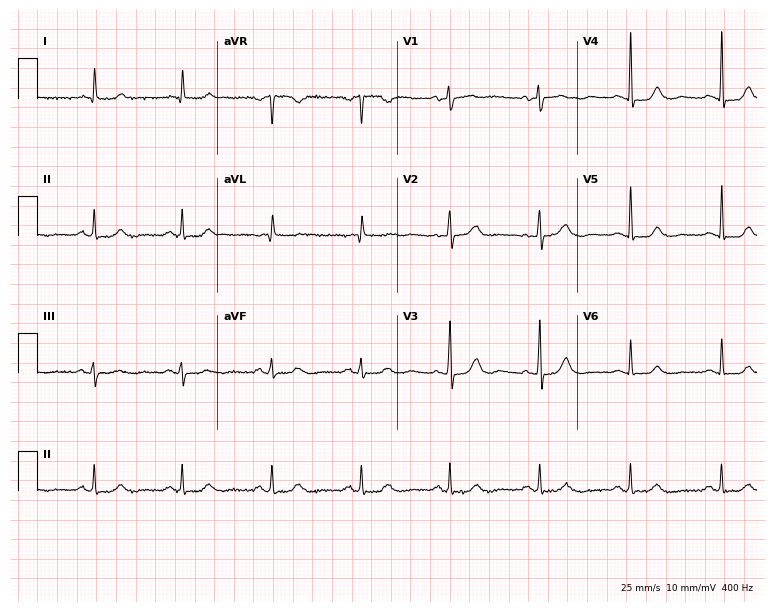
ECG (7.3-second recording at 400 Hz) — a 72-year-old female patient. Labelled as a normal ECG.